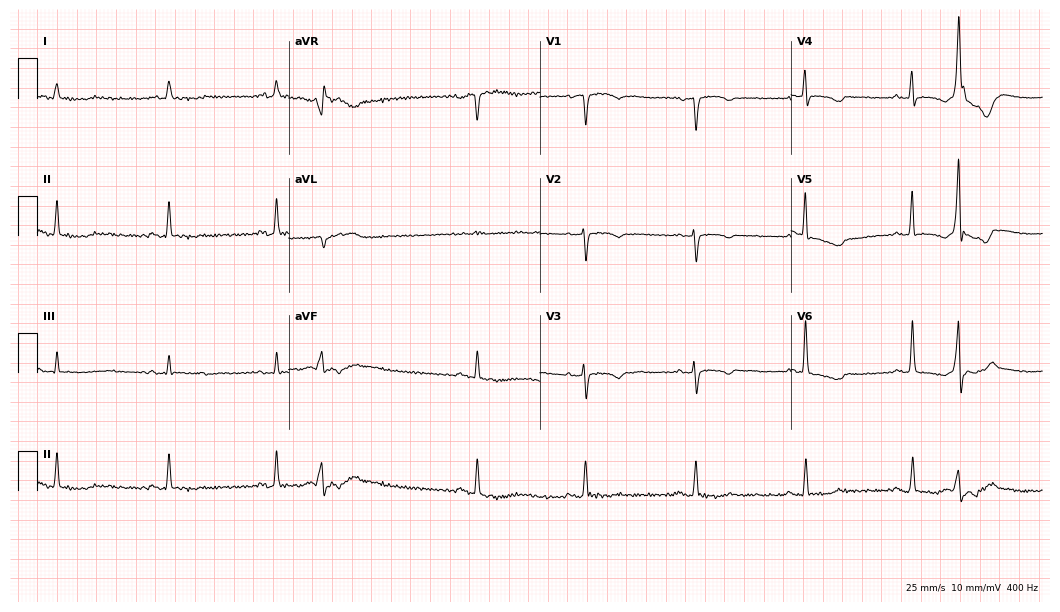
Electrocardiogram, a 70-year-old female. Of the six screened findings (first-degree AV block, right bundle branch block, left bundle branch block, sinus bradycardia, atrial fibrillation, sinus tachycardia), none is recorded. Other findings, if any, are not listed.